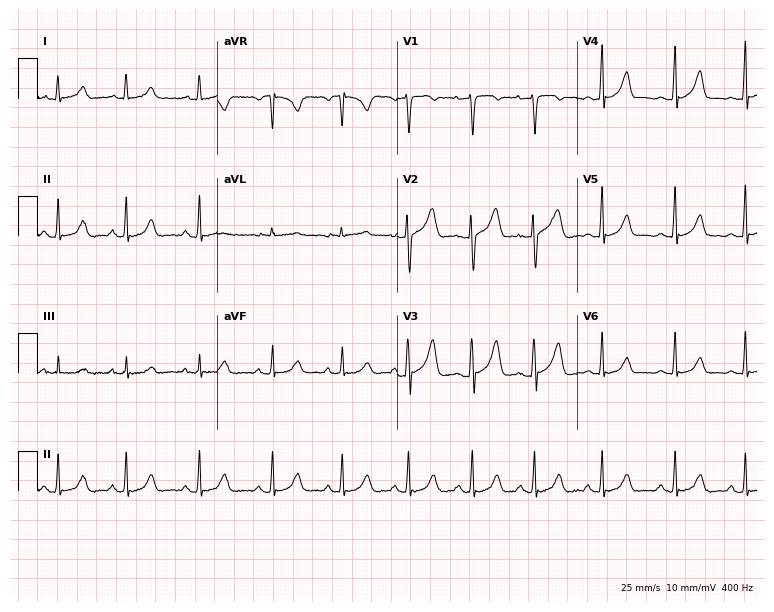
Resting 12-lead electrocardiogram. Patient: a female, 30 years old. None of these six findings is recorded: first-degree AV block, right bundle branch block (RBBB), left bundle branch block (LBBB), sinus bradycardia, atrial fibrillation (AF), sinus tachycardia. Findings outside these six are not listed.